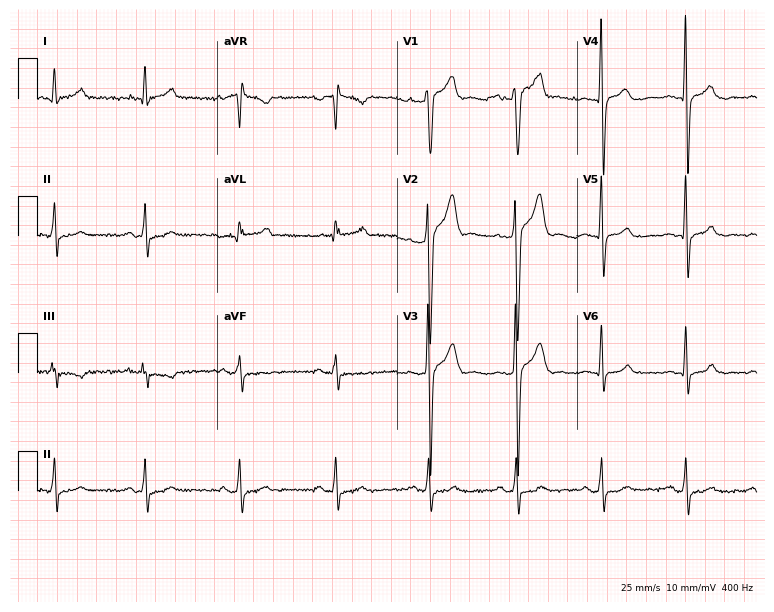
12-lead ECG (7.3-second recording at 400 Hz) from a 27-year-old male. Labelled as a normal ECG.